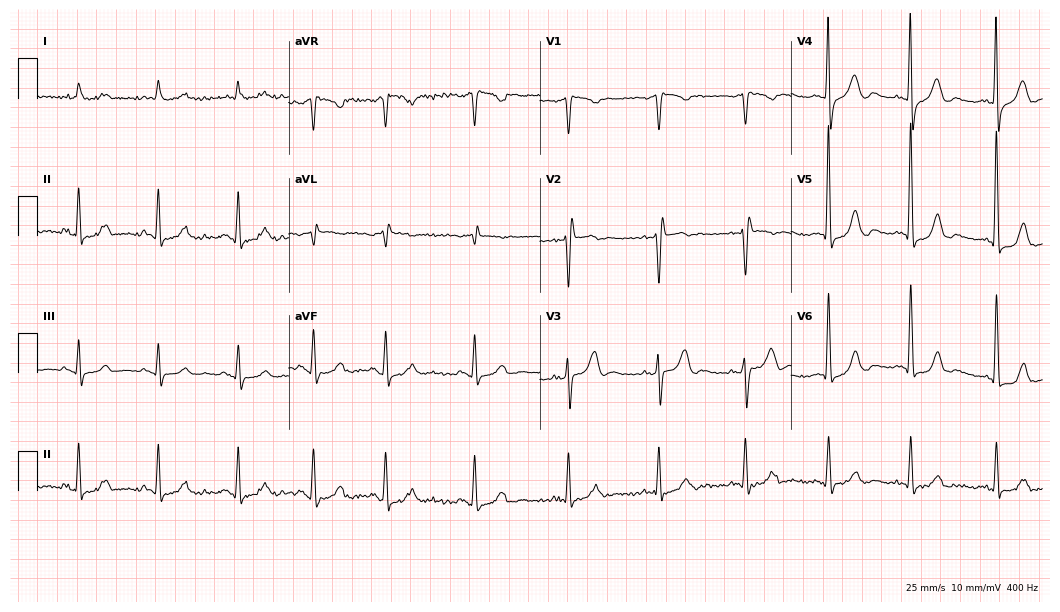
Resting 12-lead electrocardiogram. Patient: a male, 57 years old. None of these six findings is recorded: first-degree AV block, right bundle branch block, left bundle branch block, sinus bradycardia, atrial fibrillation, sinus tachycardia.